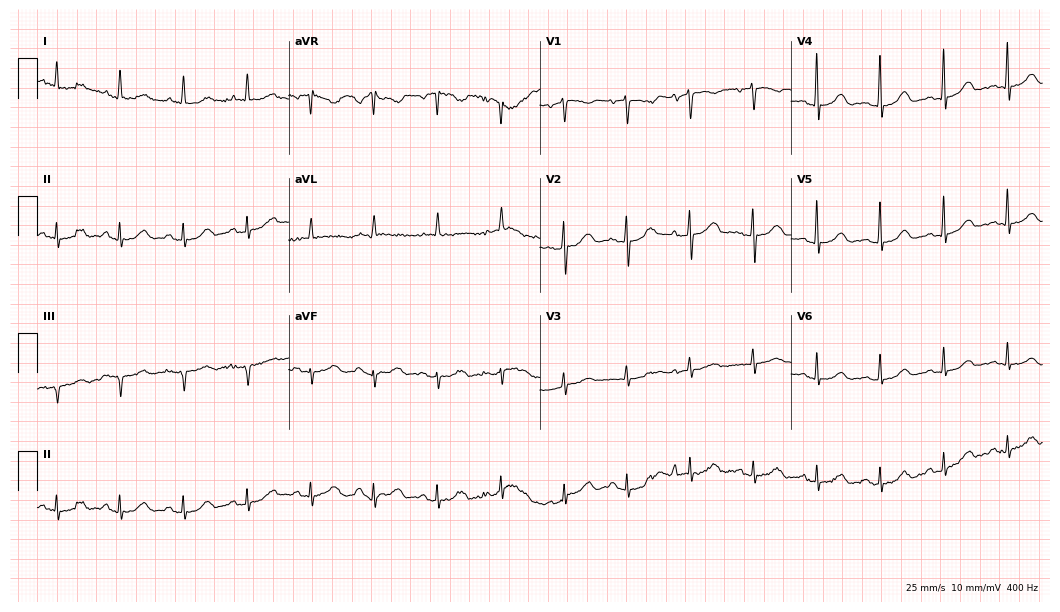
12-lead ECG (10.2-second recording at 400 Hz) from a female patient, 81 years old. Labelled as a normal ECG.